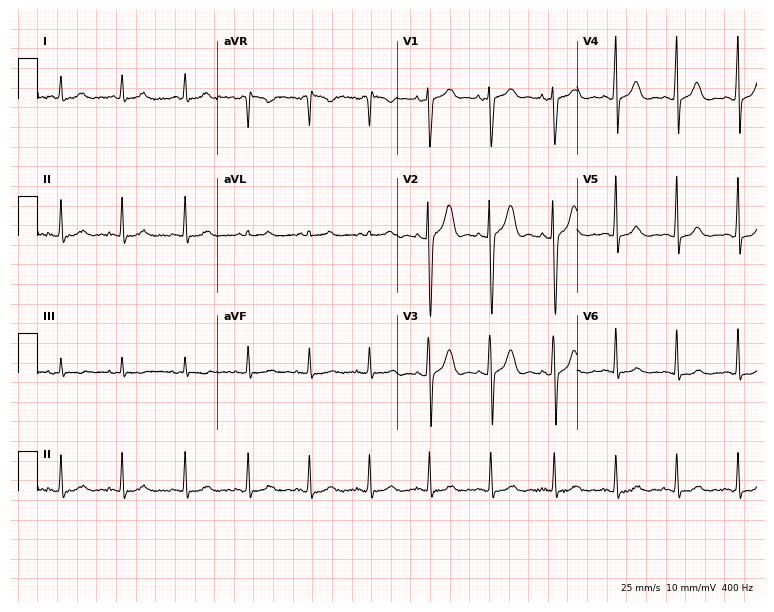
12-lead ECG from a 32-year-old woman (7.3-second recording at 400 Hz). No first-degree AV block, right bundle branch block, left bundle branch block, sinus bradycardia, atrial fibrillation or sinus tachycardia recorded for this tracing. Only these six findings were labelled.